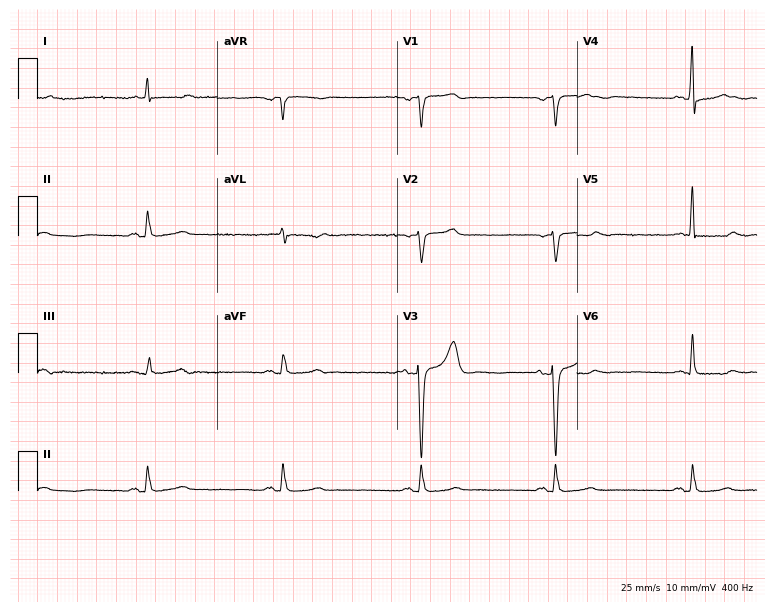
Standard 12-lead ECG recorded from a 74-year-old man. None of these six findings is recorded: first-degree AV block, right bundle branch block, left bundle branch block, sinus bradycardia, atrial fibrillation, sinus tachycardia. Other findings, if any, are not listed.